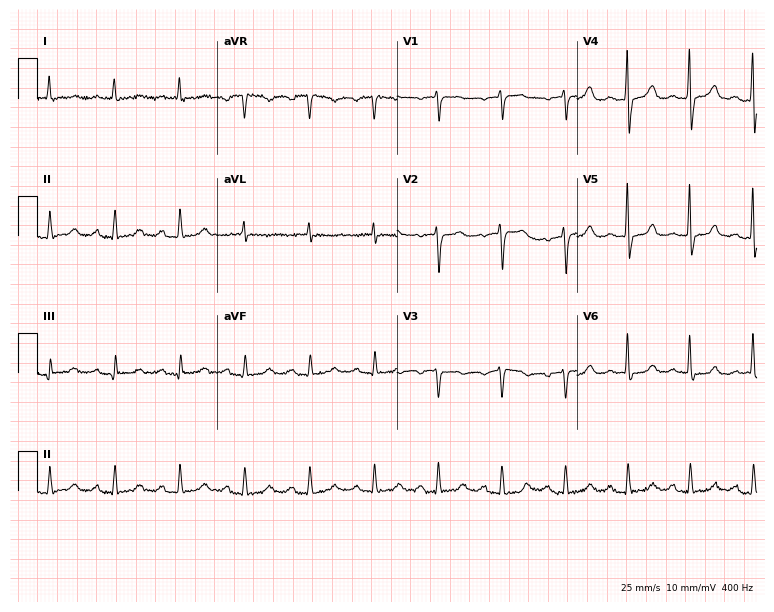
12-lead ECG from a 76-year-old woman. No first-degree AV block, right bundle branch block (RBBB), left bundle branch block (LBBB), sinus bradycardia, atrial fibrillation (AF) or sinus tachycardia recorded for this tracing.